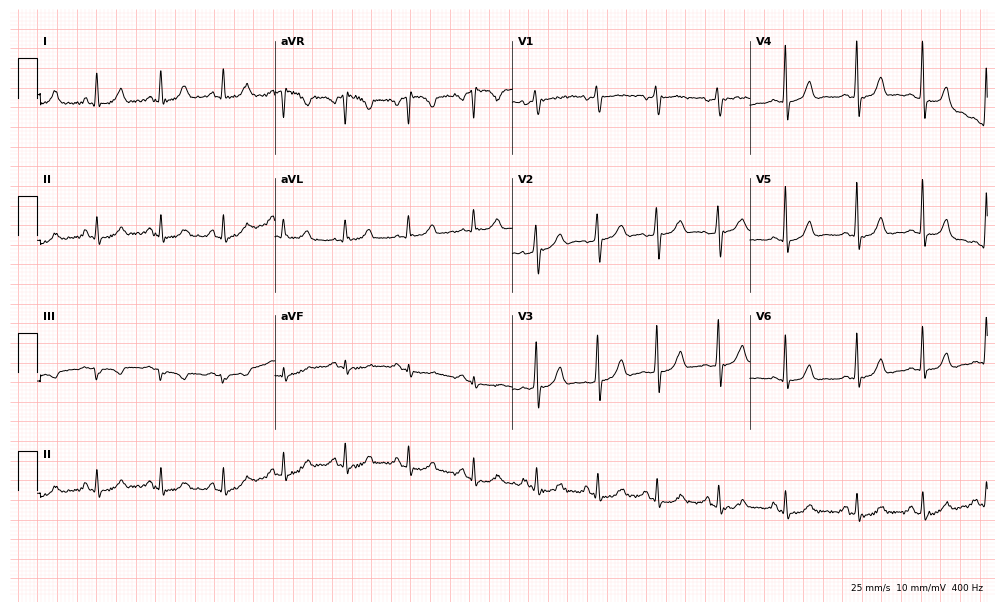
Resting 12-lead electrocardiogram (9.7-second recording at 400 Hz). Patient: a woman, 48 years old. Read as a normal ECG.